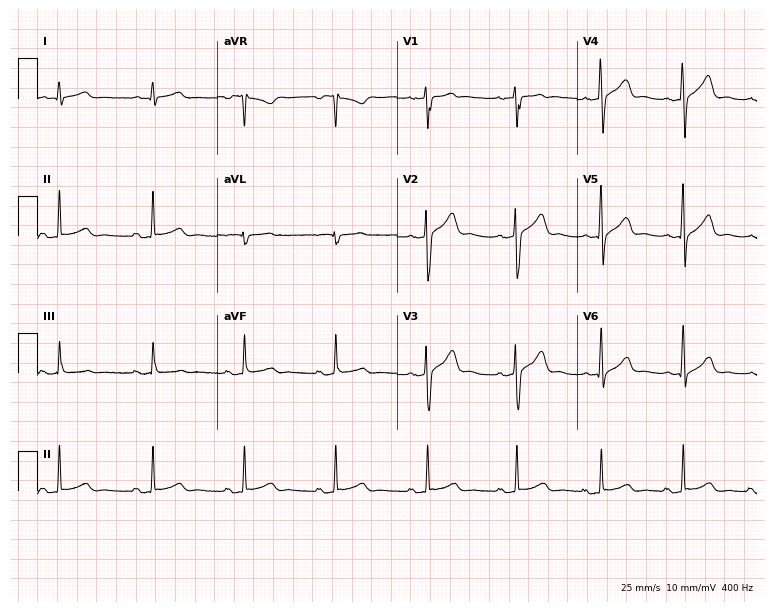
Resting 12-lead electrocardiogram. Patient: a male, 29 years old. None of these six findings is recorded: first-degree AV block, right bundle branch block, left bundle branch block, sinus bradycardia, atrial fibrillation, sinus tachycardia. Only these six findings were labelled.